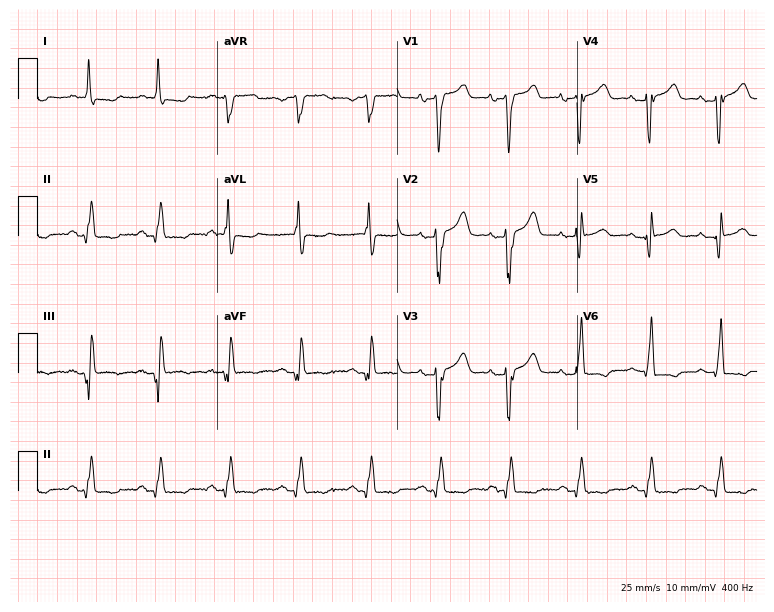
Electrocardiogram (7.3-second recording at 400 Hz), a 58-year-old female patient. Of the six screened findings (first-degree AV block, right bundle branch block, left bundle branch block, sinus bradycardia, atrial fibrillation, sinus tachycardia), none is recorded.